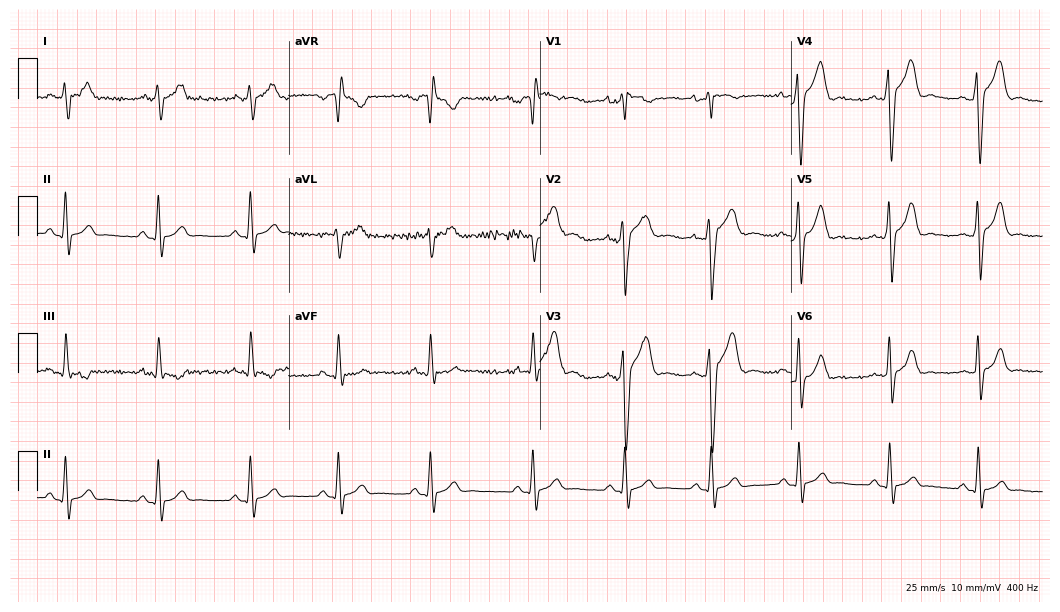
12-lead ECG from a 24-year-old male. Screened for six findings — first-degree AV block, right bundle branch block, left bundle branch block, sinus bradycardia, atrial fibrillation, sinus tachycardia — none is recorded. Findings outside these six are not listed.